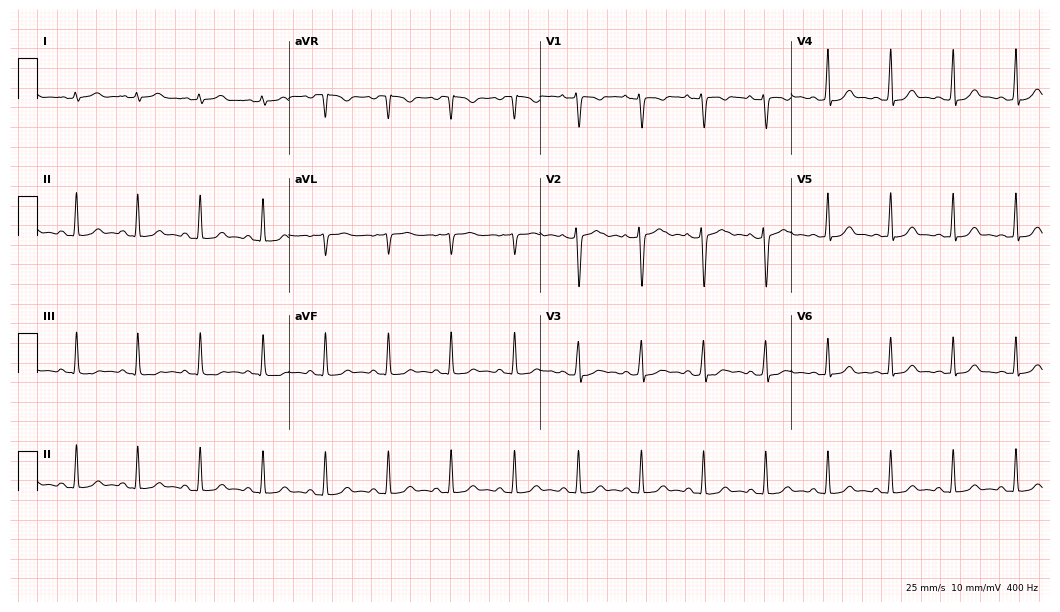
12-lead ECG (10.2-second recording at 400 Hz) from a 19-year-old female. Labelled as a normal ECG.